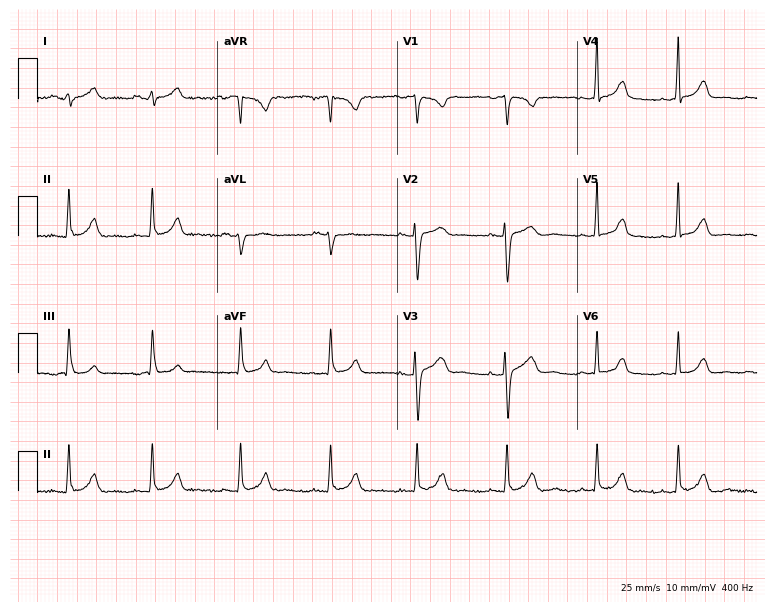
12-lead ECG from a female patient, 30 years old. Recorded interpretation: within normal limits.